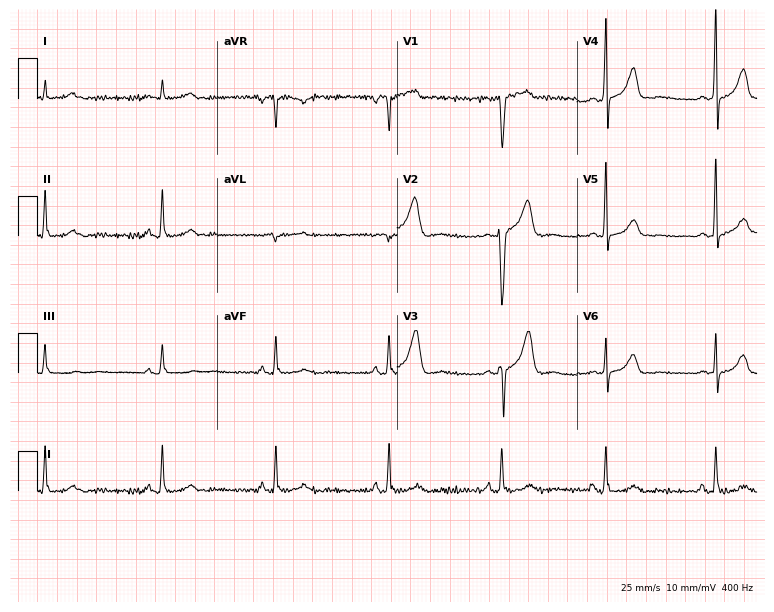
ECG (7.3-second recording at 400 Hz) — a 46-year-old male patient. Screened for six findings — first-degree AV block, right bundle branch block (RBBB), left bundle branch block (LBBB), sinus bradycardia, atrial fibrillation (AF), sinus tachycardia — none is recorded. Only these six findings were labelled.